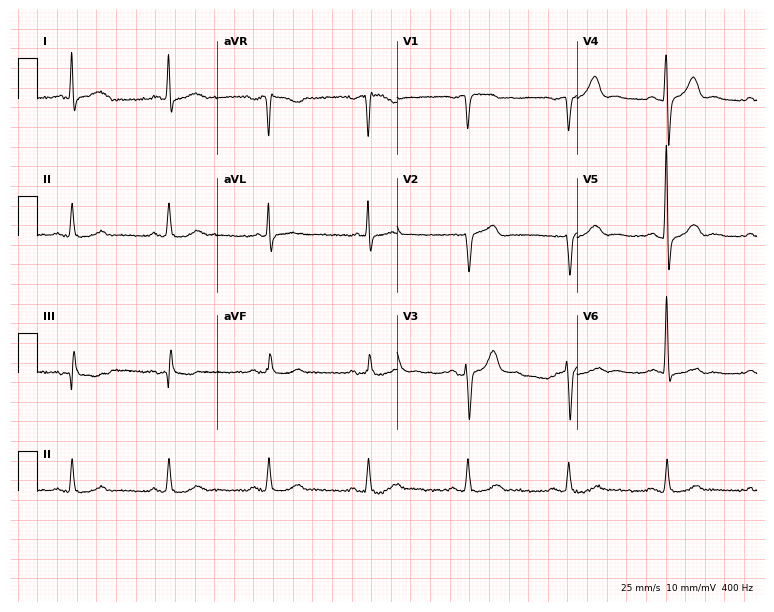
Electrocardiogram (7.3-second recording at 400 Hz), a male patient, 76 years old. Overall reading on record: normal ECG.